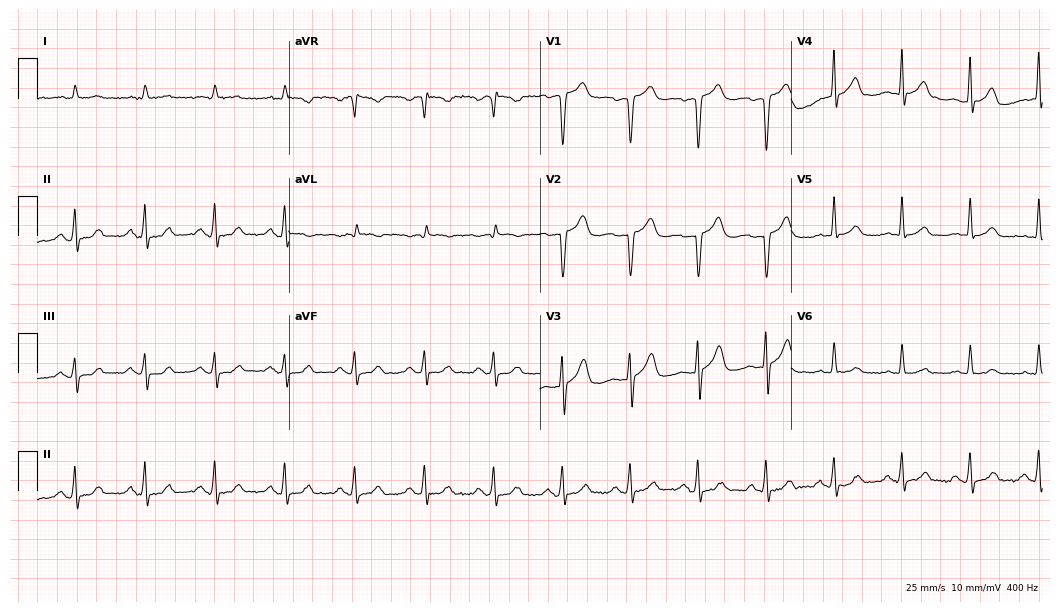
ECG — a male, 79 years old. Labelled as a normal ECG.